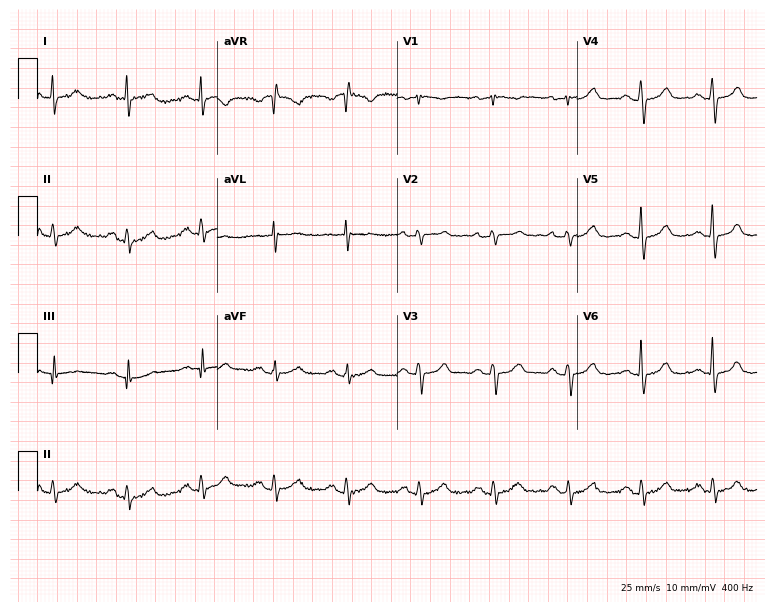
12-lead ECG from a 46-year-old woman. Labelled as a normal ECG.